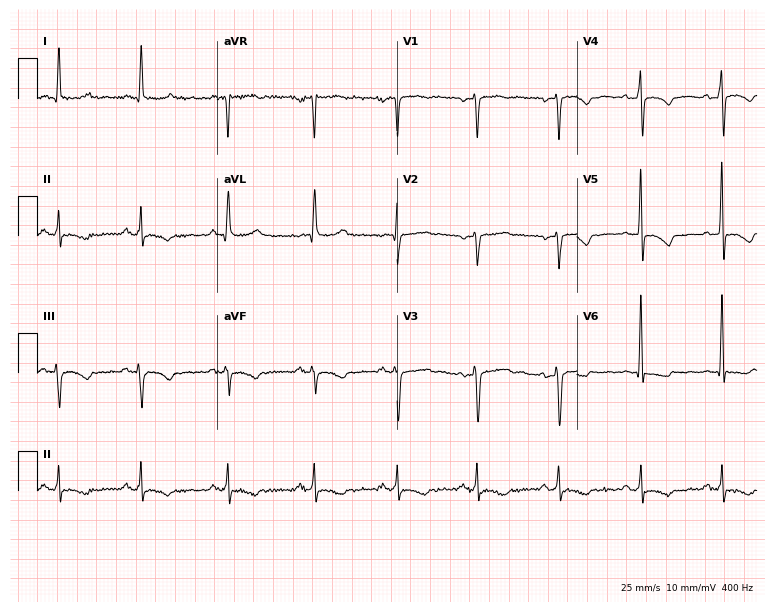
ECG (7.3-second recording at 400 Hz) — a 40-year-old woman. Screened for six findings — first-degree AV block, right bundle branch block (RBBB), left bundle branch block (LBBB), sinus bradycardia, atrial fibrillation (AF), sinus tachycardia — none is recorded.